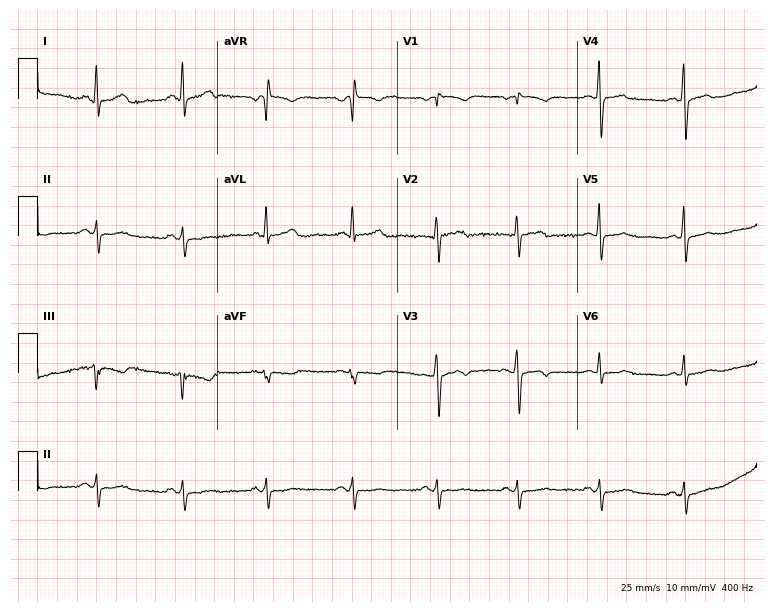
Electrocardiogram (7.3-second recording at 400 Hz), a female patient, 53 years old. Of the six screened findings (first-degree AV block, right bundle branch block, left bundle branch block, sinus bradycardia, atrial fibrillation, sinus tachycardia), none is recorded.